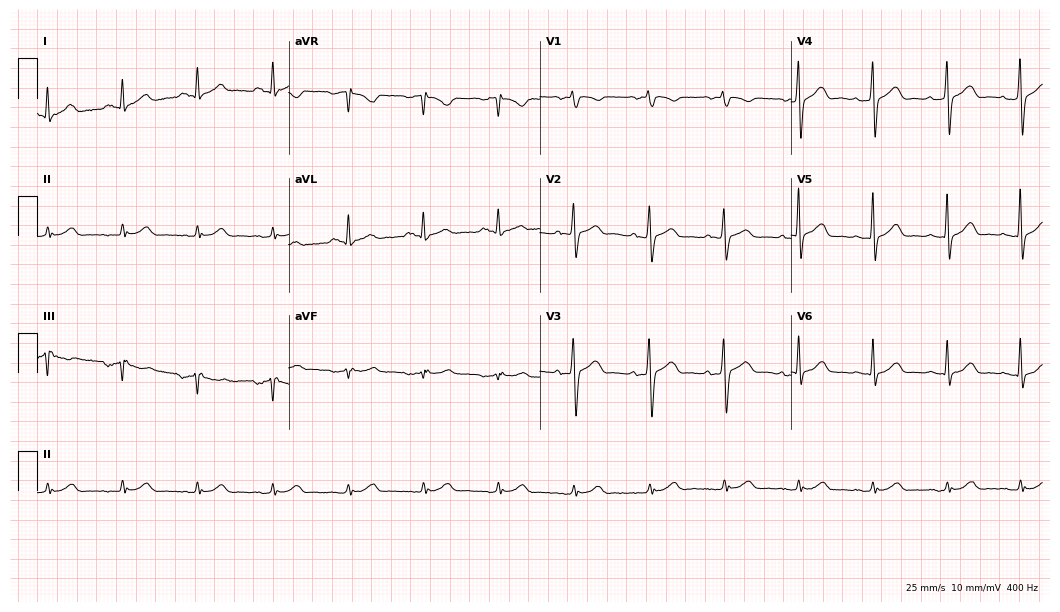
ECG — a male patient, 53 years old. Labelled as a normal ECG.